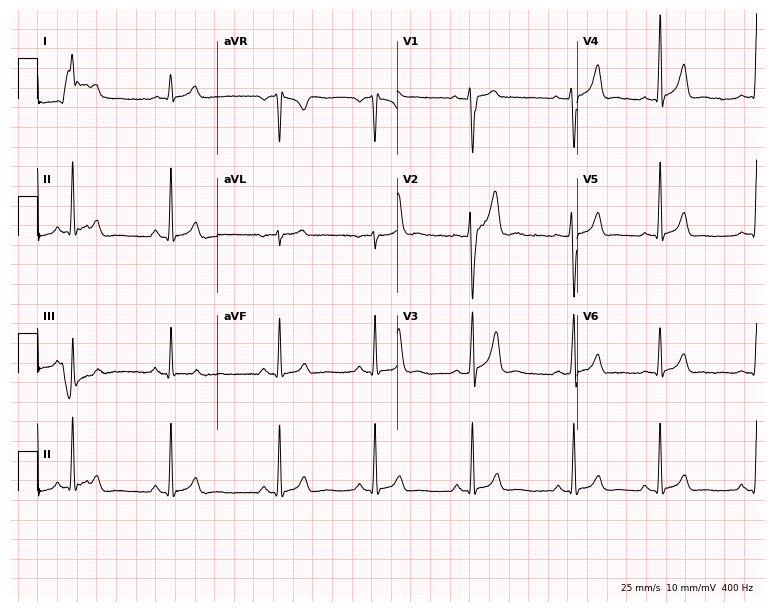
Resting 12-lead electrocardiogram (7.3-second recording at 400 Hz). Patient: a 27-year-old male. Read as a normal ECG.